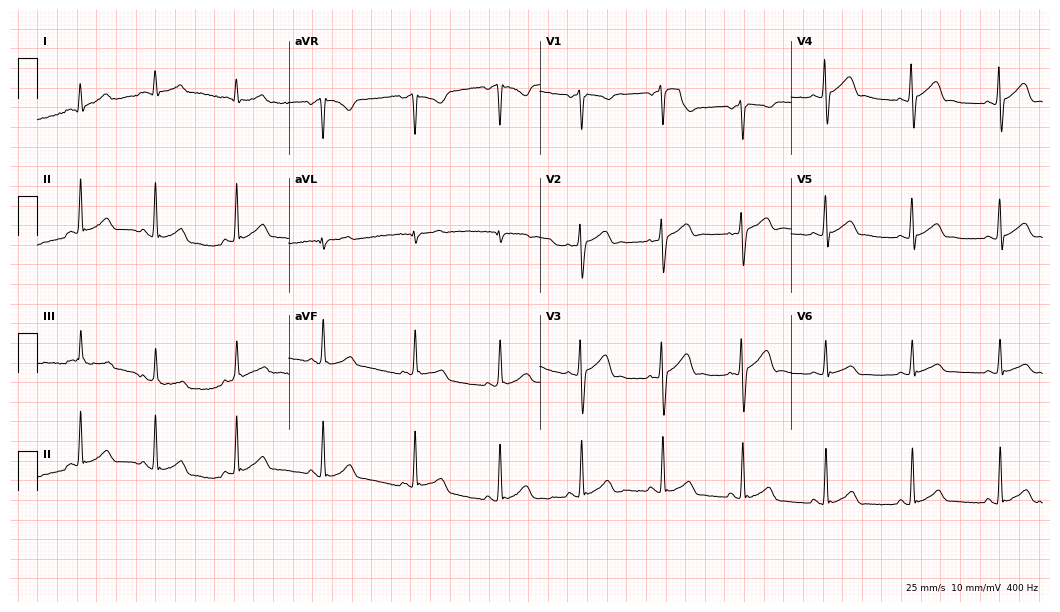
Resting 12-lead electrocardiogram. Patient: a male, 19 years old. Read as a normal ECG.